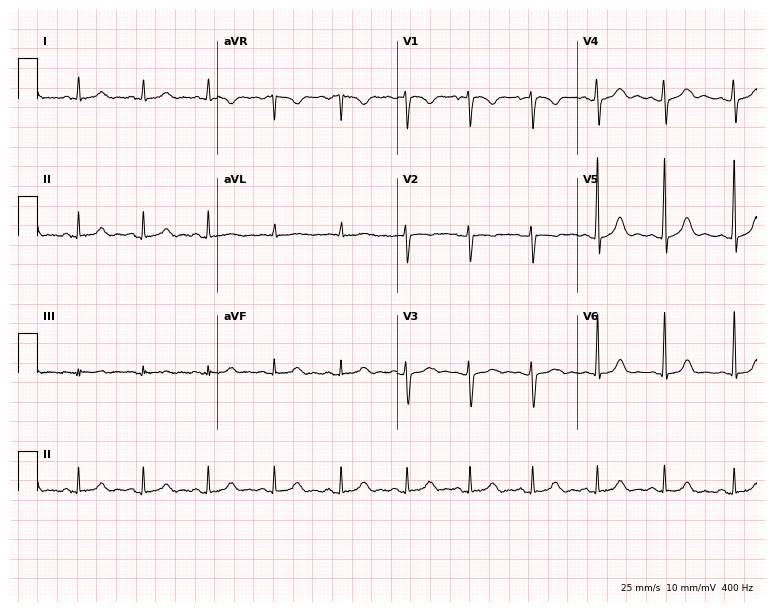
Resting 12-lead electrocardiogram. Patient: a 44-year-old woman. None of these six findings is recorded: first-degree AV block, right bundle branch block, left bundle branch block, sinus bradycardia, atrial fibrillation, sinus tachycardia. Other findings, if any, are not listed.